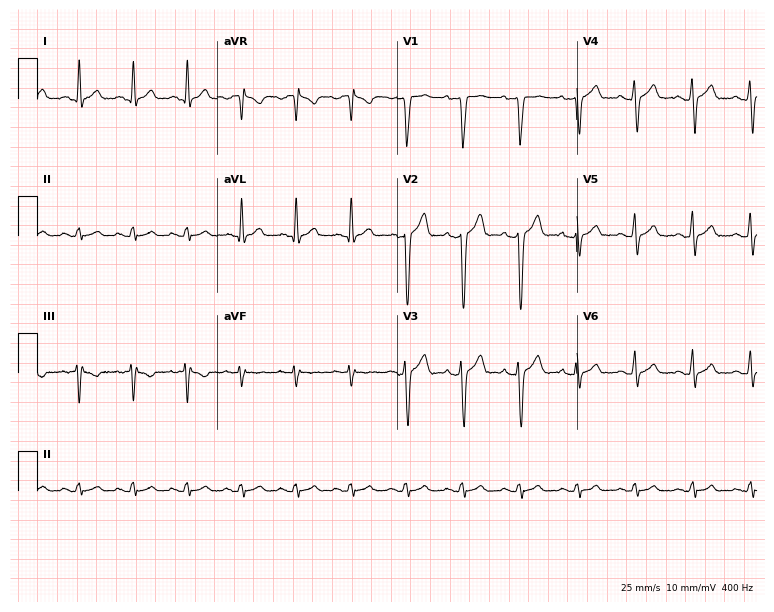
Resting 12-lead electrocardiogram (7.3-second recording at 400 Hz). Patient: a man, 33 years old. The tracing shows sinus tachycardia (a sinus rate of 100 beats per minute or more).